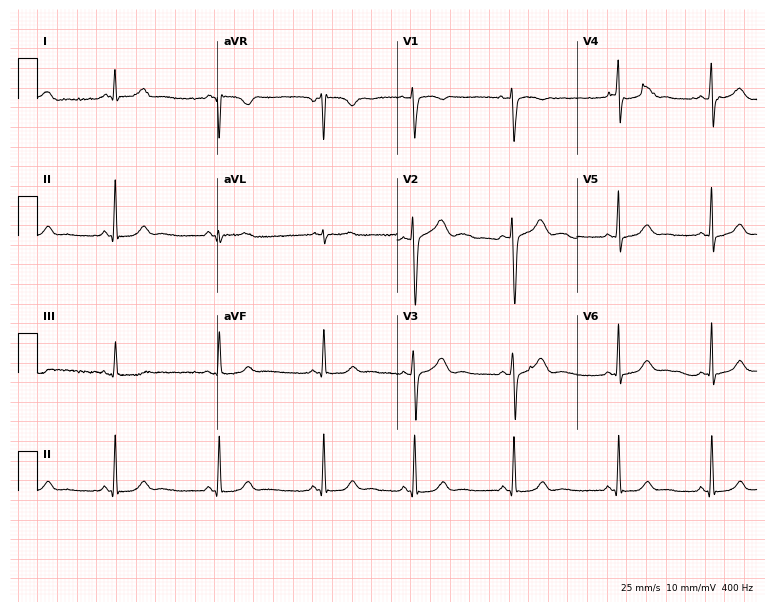
Electrocardiogram (7.3-second recording at 400 Hz), a 24-year-old woman. Overall reading on record: normal ECG.